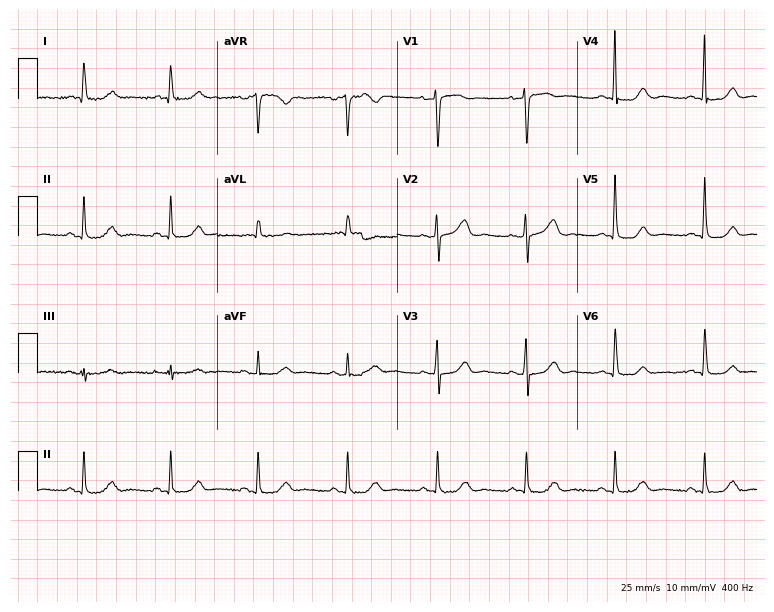
Electrocardiogram (7.3-second recording at 400 Hz), a female, 61 years old. Overall reading on record: normal ECG.